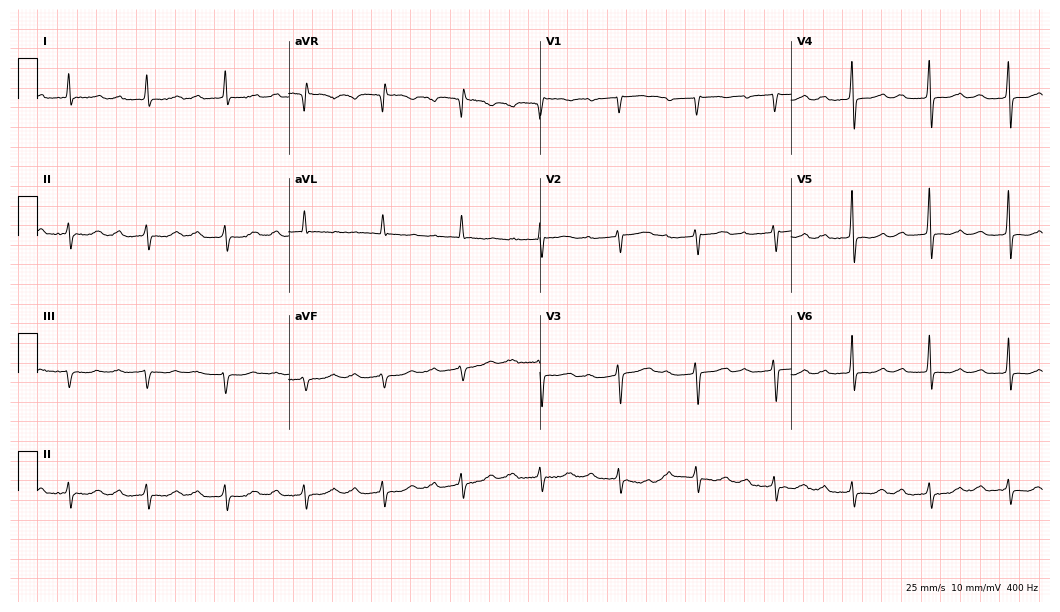
ECG — an 80-year-old female. Findings include first-degree AV block.